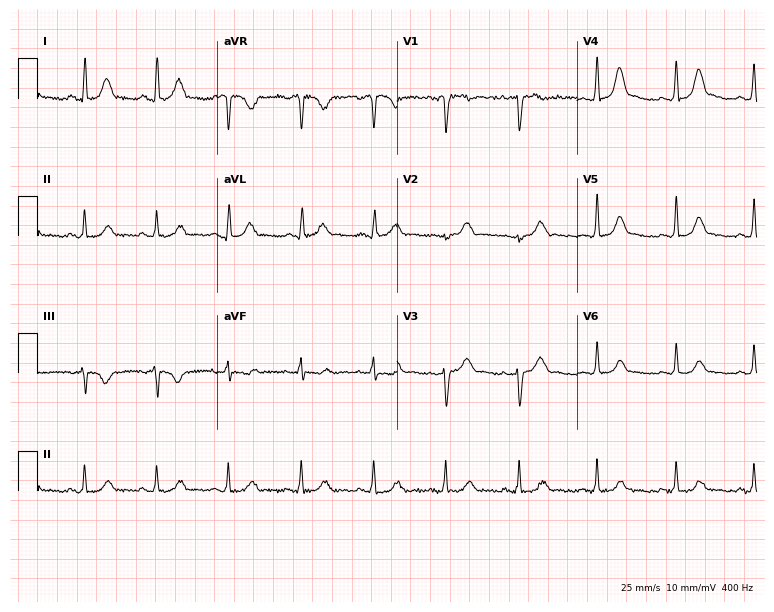
Resting 12-lead electrocardiogram. Patient: a woman, 39 years old. Read as a normal ECG.